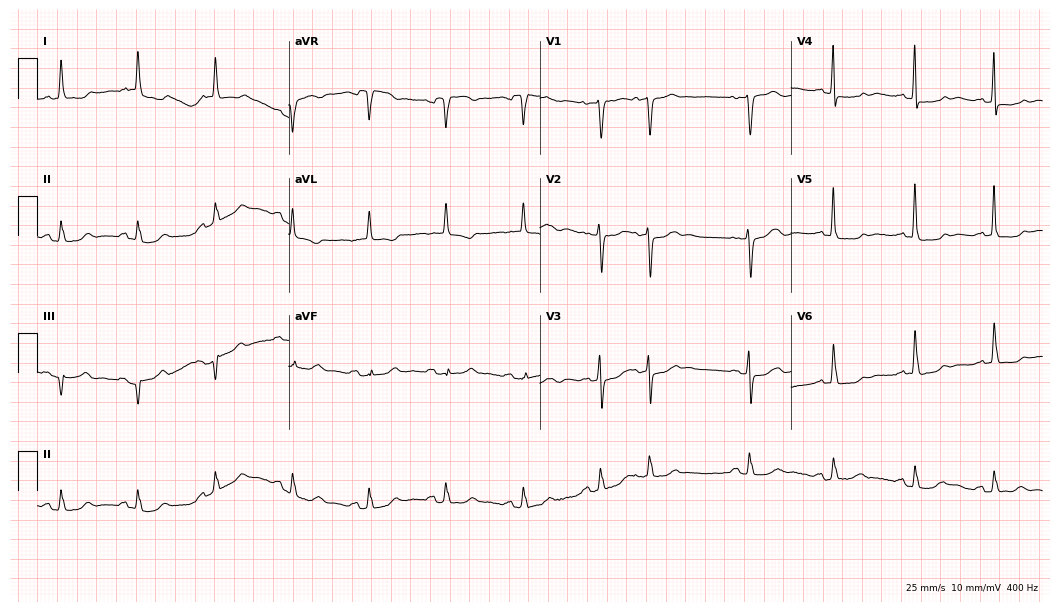
Standard 12-lead ECG recorded from a 78-year-old woman. None of these six findings is recorded: first-degree AV block, right bundle branch block, left bundle branch block, sinus bradycardia, atrial fibrillation, sinus tachycardia.